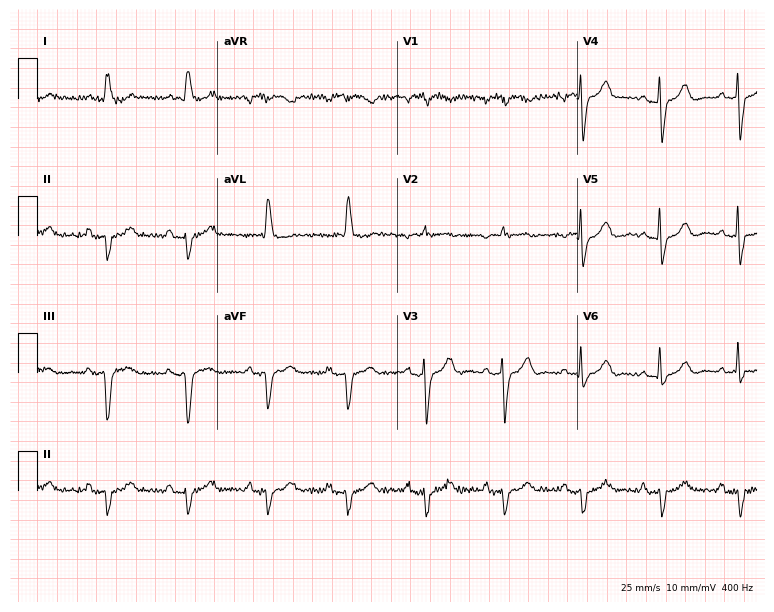
Electrocardiogram (7.3-second recording at 400 Hz), an 84-year-old female patient. Of the six screened findings (first-degree AV block, right bundle branch block (RBBB), left bundle branch block (LBBB), sinus bradycardia, atrial fibrillation (AF), sinus tachycardia), none is recorded. Findings outside these six are not listed.